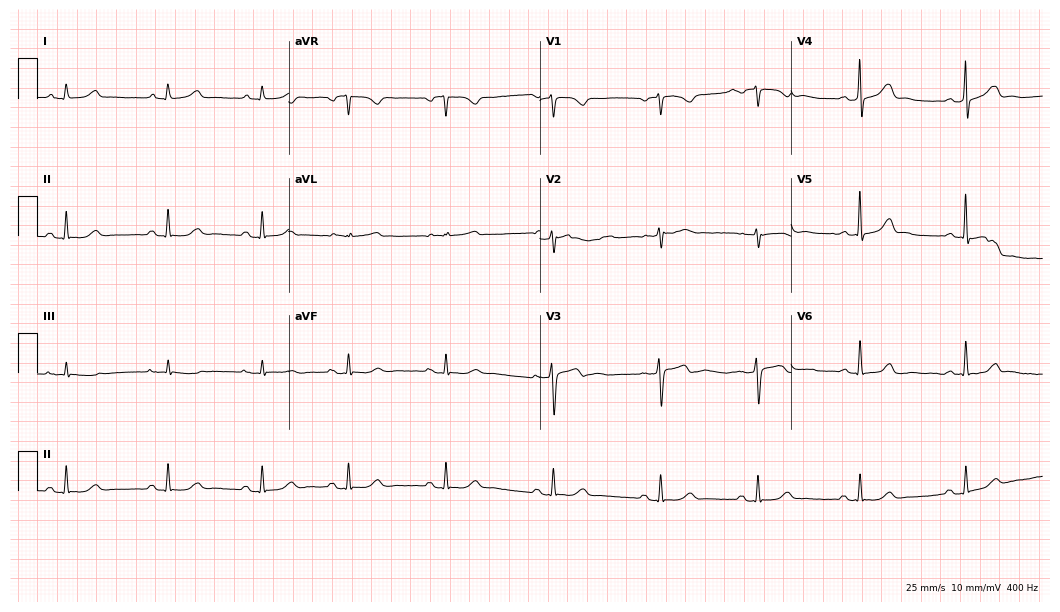
Standard 12-lead ECG recorded from a female, 47 years old. Read as a normal ECG.